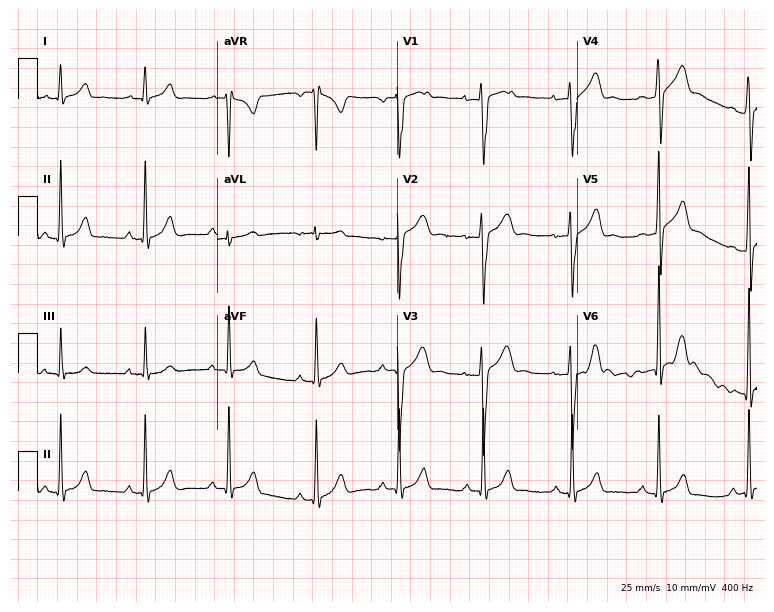
12-lead ECG (7.3-second recording at 400 Hz) from a 17-year-old man. Labelled as a normal ECG.